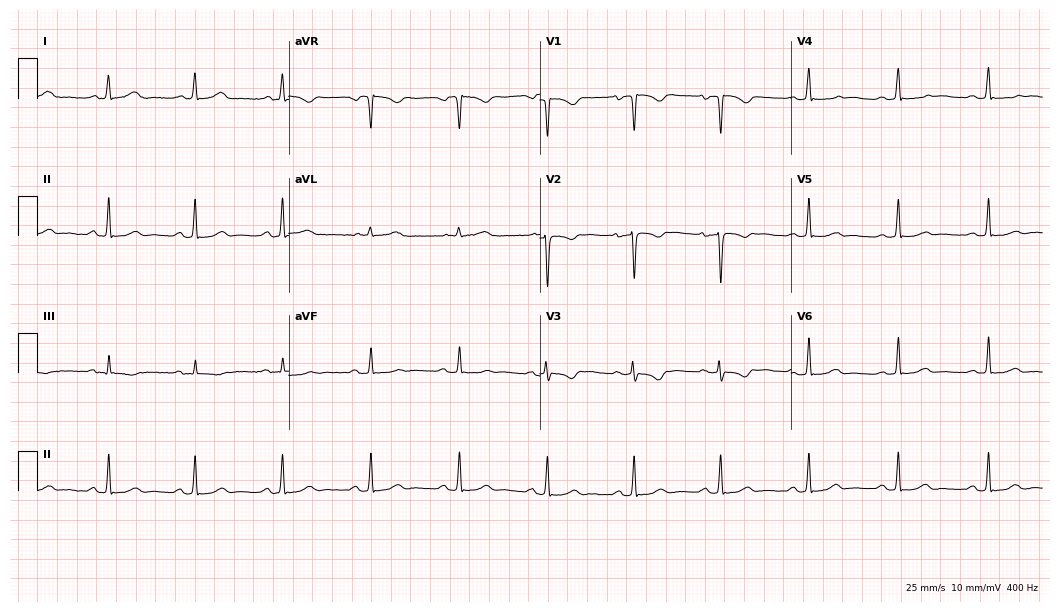
12-lead ECG from a 36-year-old female. Screened for six findings — first-degree AV block, right bundle branch block (RBBB), left bundle branch block (LBBB), sinus bradycardia, atrial fibrillation (AF), sinus tachycardia — none is recorded. Other findings, if any, are not listed.